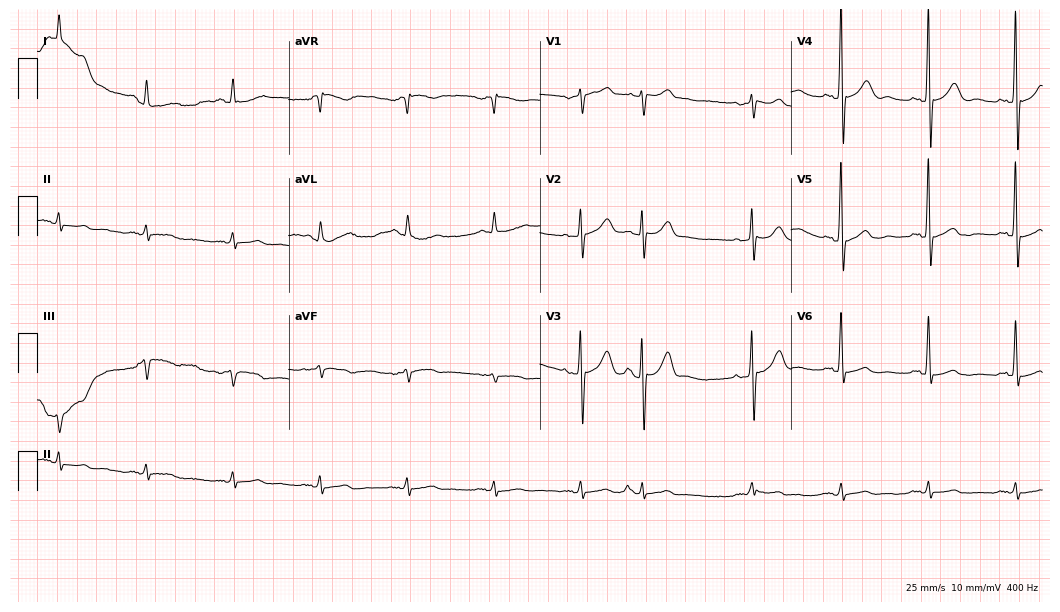
Electrocardiogram (10.2-second recording at 400 Hz), an 82-year-old male patient. Of the six screened findings (first-degree AV block, right bundle branch block, left bundle branch block, sinus bradycardia, atrial fibrillation, sinus tachycardia), none is recorded.